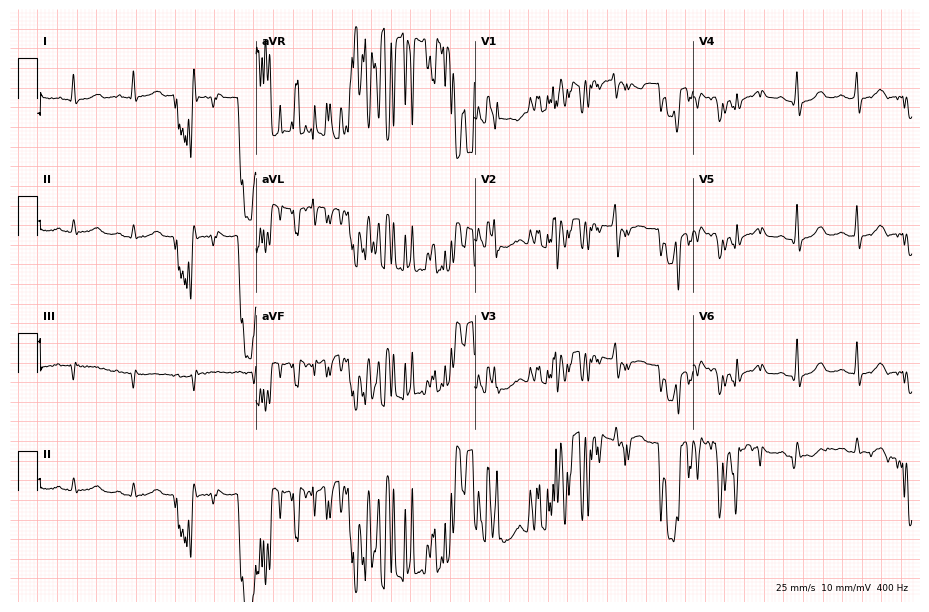
Standard 12-lead ECG recorded from a 45-year-old woman. None of these six findings is recorded: first-degree AV block, right bundle branch block, left bundle branch block, sinus bradycardia, atrial fibrillation, sinus tachycardia. Other findings, if any, are not listed.